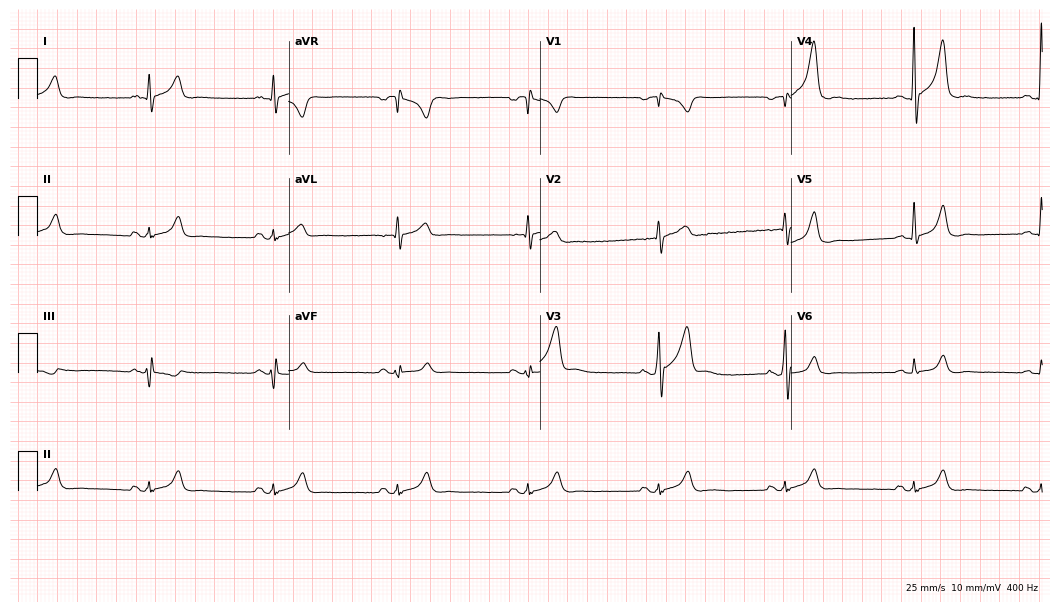
Resting 12-lead electrocardiogram (10.2-second recording at 400 Hz). Patient: a male, 54 years old. None of these six findings is recorded: first-degree AV block, right bundle branch block, left bundle branch block, sinus bradycardia, atrial fibrillation, sinus tachycardia.